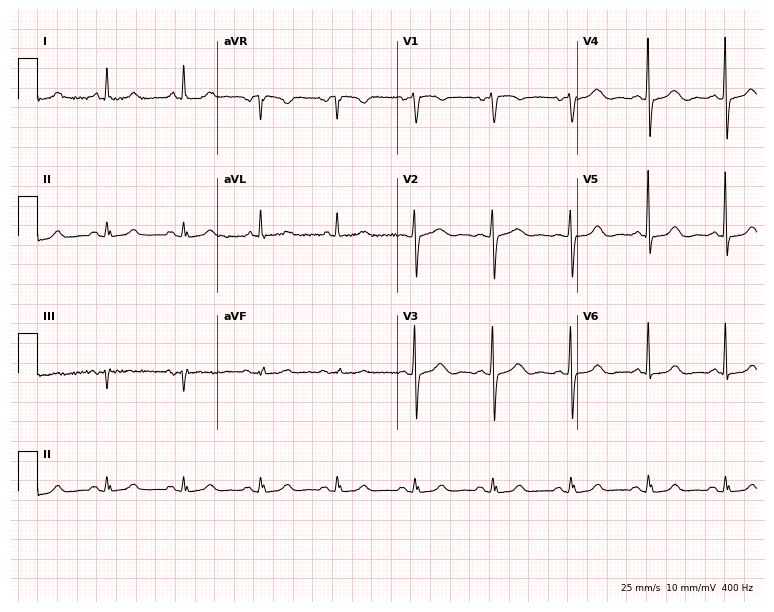
12-lead ECG from a female, 72 years old. No first-degree AV block, right bundle branch block (RBBB), left bundle branch block (LBBB), sinus bradycardia, atrial fibrillation (AF) or sinus tachycardia recorded for this tracing. Other findings, if any, are not listed.